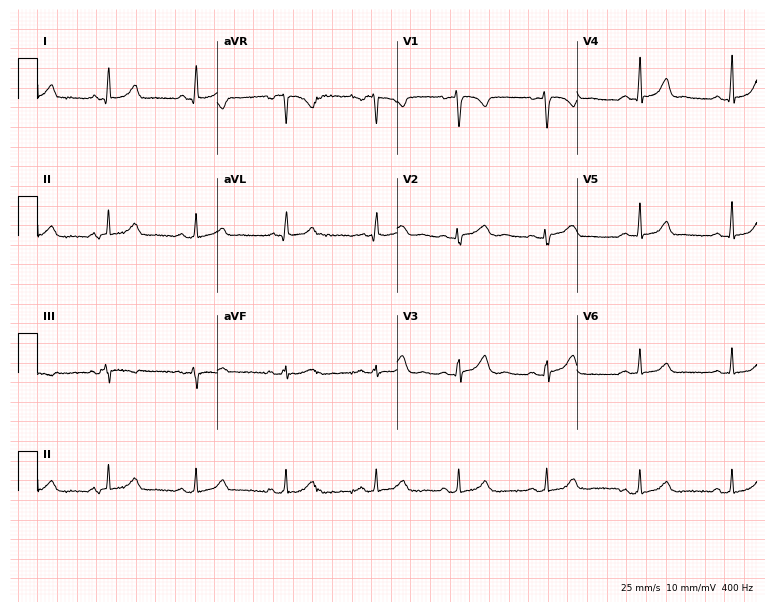
Standard 12-lead ECG recorded from an 18-year-old female. None of these six findings is recorded: first-degree AV block, right bundle branch block (RBBB), left bundle branch block (LBBB), sinus bradycardia, atrial fibrillation (AF), sinus tachycardia. Other findings, if any, are not listed.